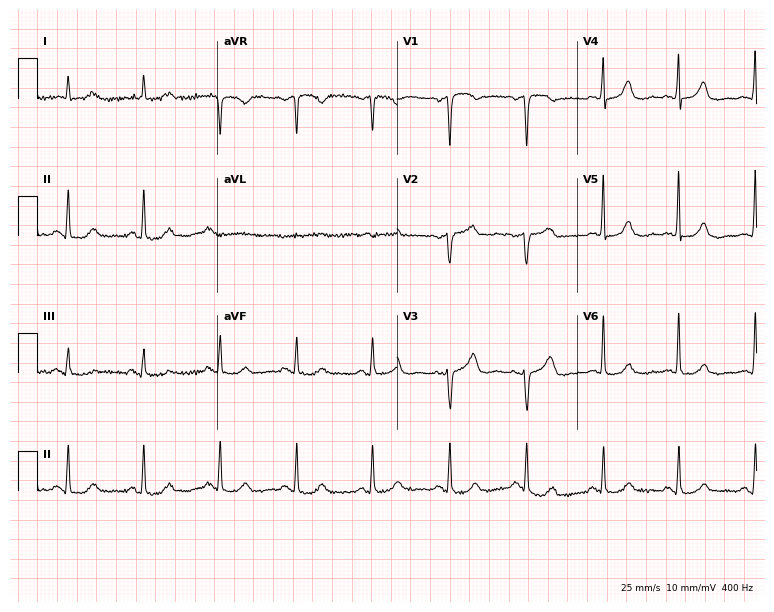
ECG — a 72-year-old woman. Screened for six findings — first-degree AV block, right bundle branch block, left bundle branch block, sinus bradycardia, atrial fibrillation, sinus tachycardia — none is recorded.